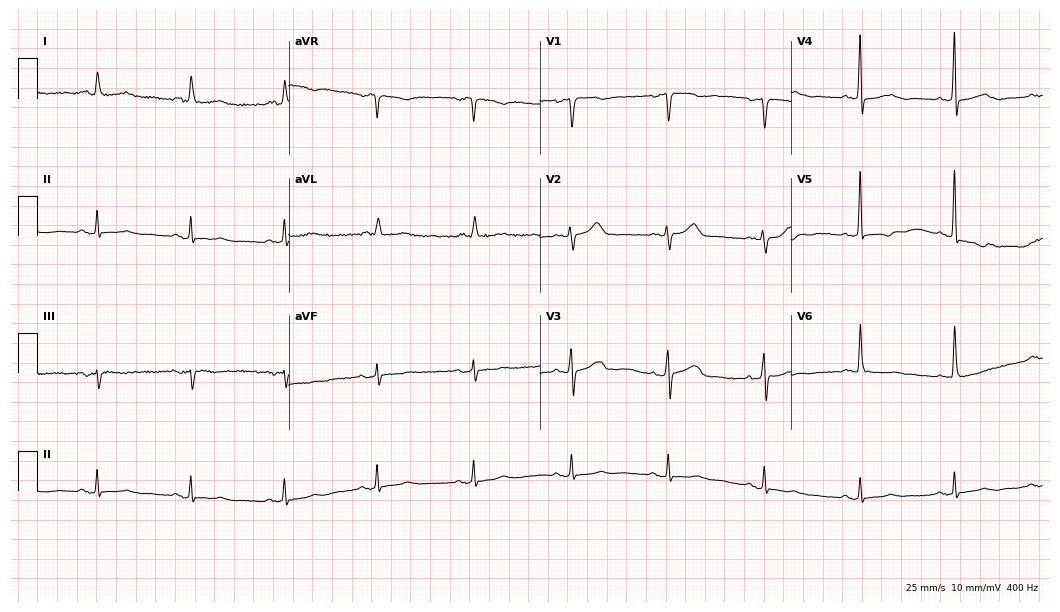
Standard 12-lead ECG recorded from a 64-year-old female patient. None of these six findings is recorded: first-degree AV block, right bundle branch block, left bundle branch block, sinus bradycardia, atrial fibrillation, sinus tachycardia.